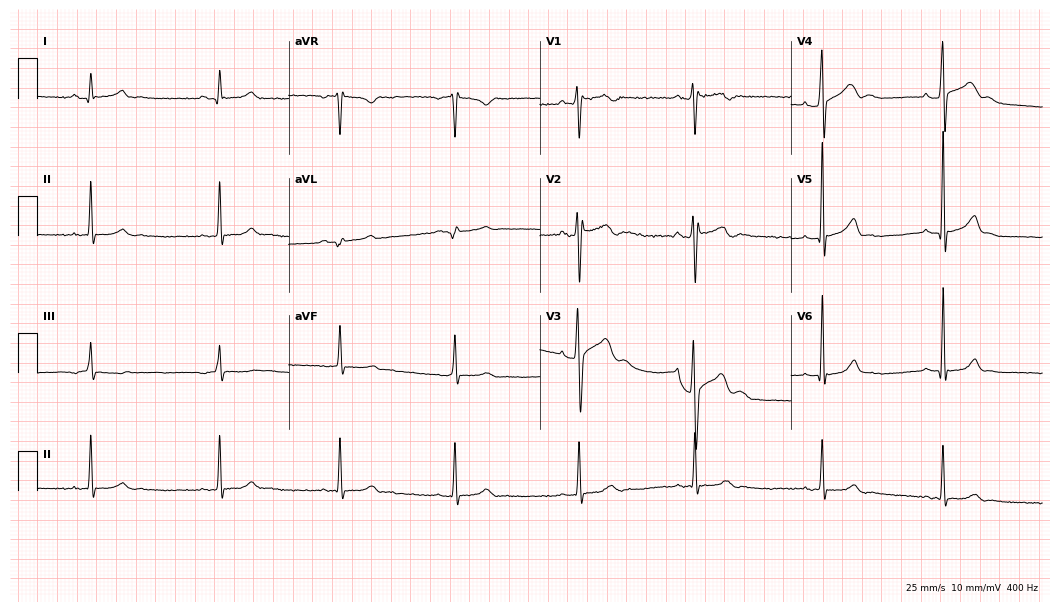
Standard 12-lead ECG recorded from a man, 22 years old (10.2-second recording at 400 Hz). Read as a normal ECG.